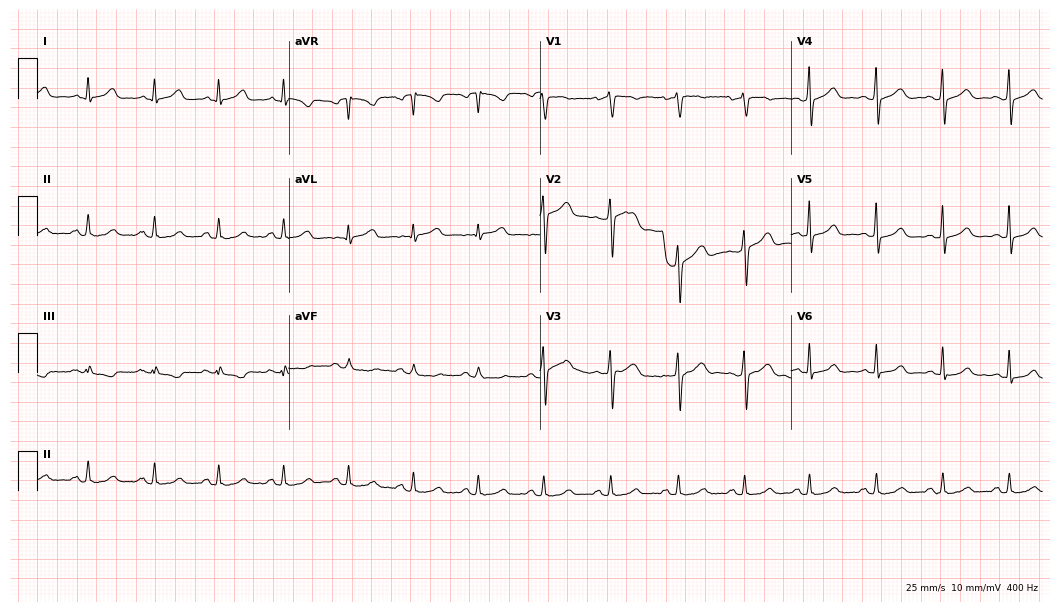
12-lead ECG from a 42-year-old female patient. Labelled as a normal ECG.